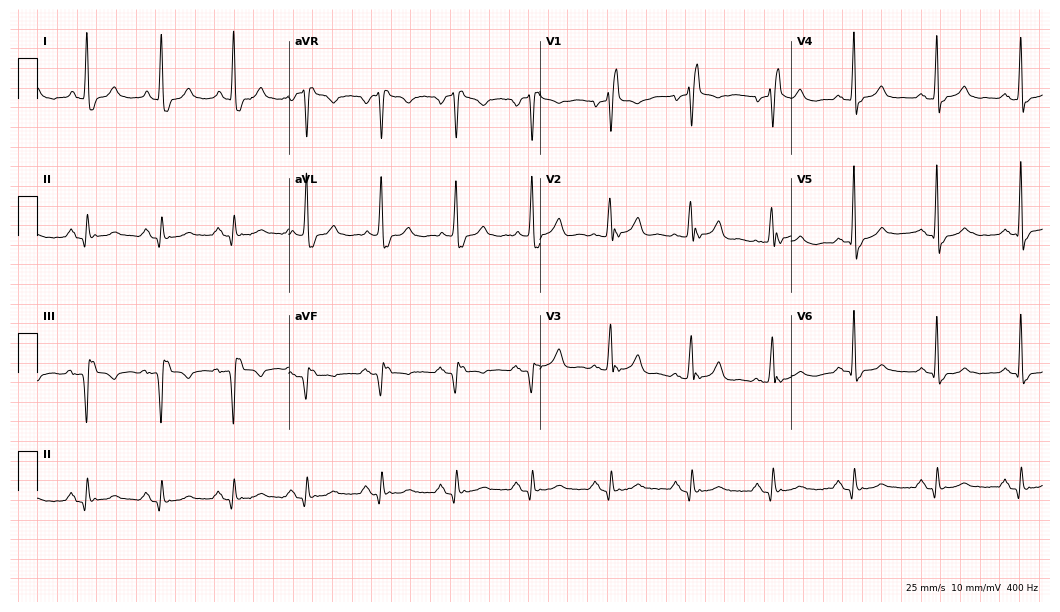
Electrocardiogram (10.2-second recording at 400 Hz), a 69-year-old male. Of the six screened findings (first-degree AV block, right bundle branch block, left bundle branch block, sinus bradycardia, atrial fibrillation, sinus tachycardia), none is recorded. Only these six findings were labelled.